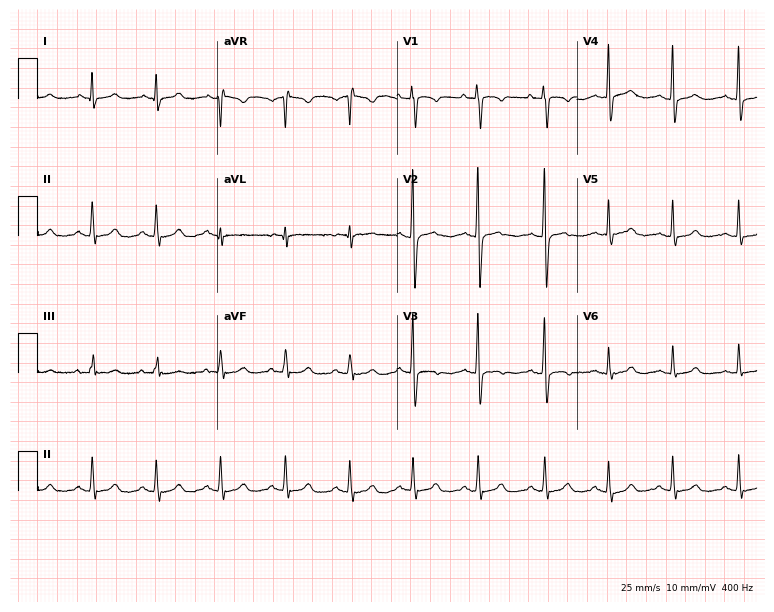
12-lead ECG (7.3-second recording at 400 Hz) from a 24-year-old woman. Labelled as a normal ECG.